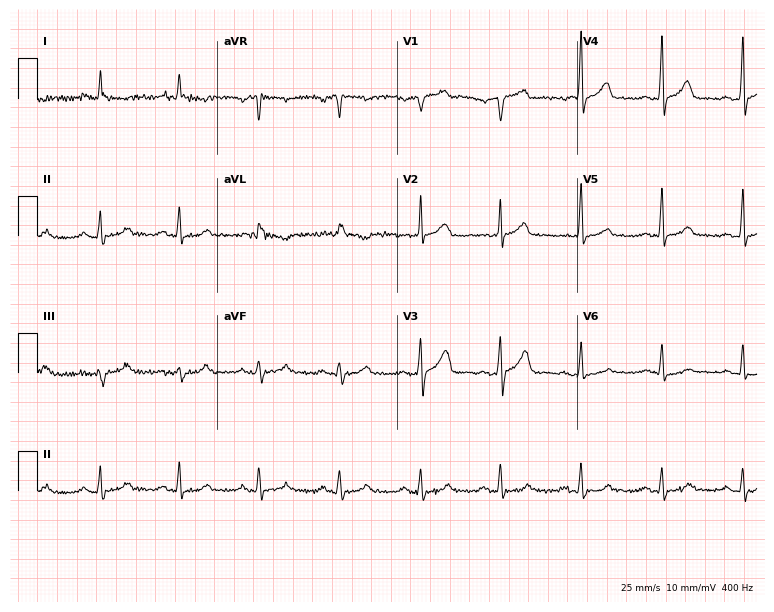
ECG (7.3-second recording at 400 Hz) — a man, 71 years old. Screened for six findings — first-degree AV block, right bundle branch block (RBBB), left bundle branch block (LBBB), sinus bradycardia, atrial fibrillation (AF), sinus tachycardia — none is recorded. Other findings, if any, are not listed.